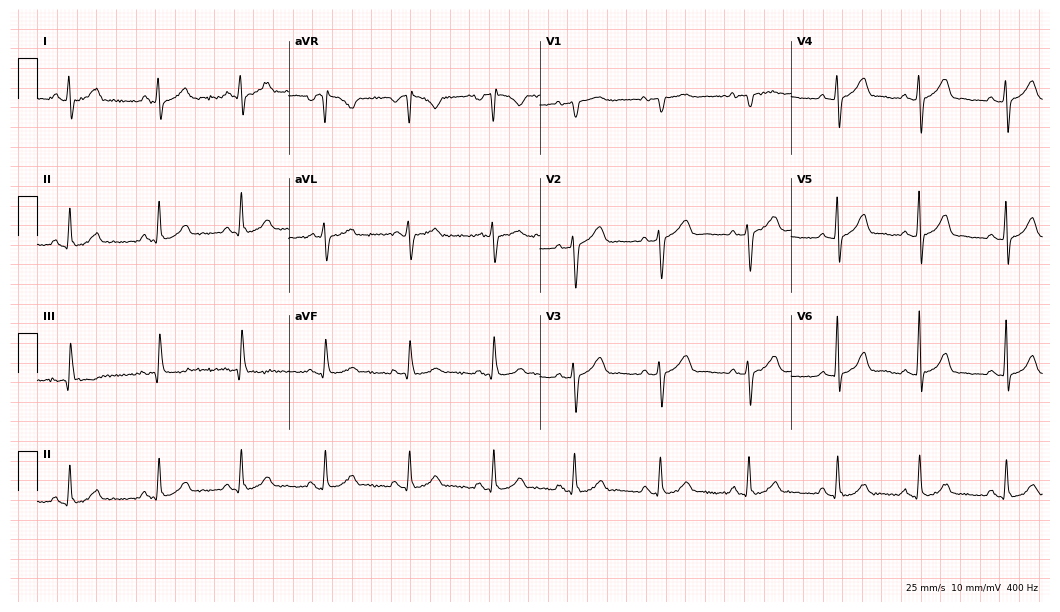
ECG — a 24-year-old female patient. Labelled as a normal ECG.